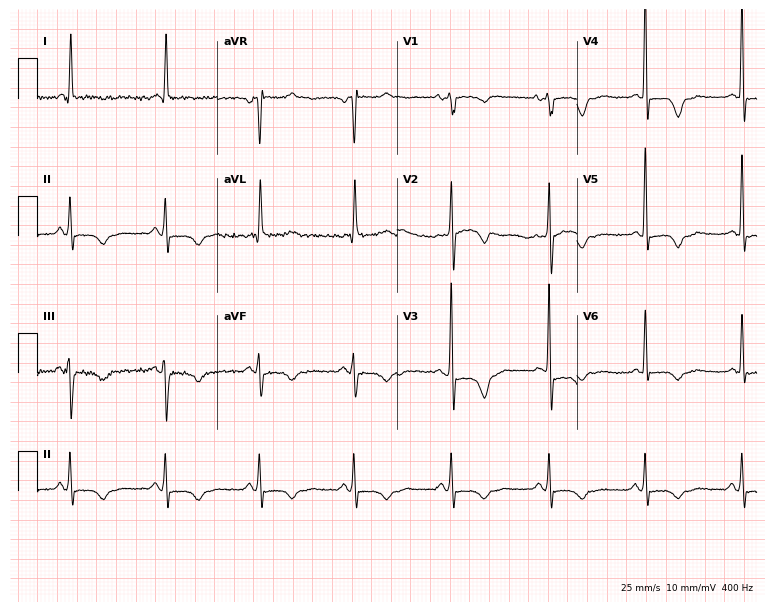
Resting 12-lead electrocardiogram. Patient: a 72-year-old woman. None of these six findings is recorded: first-degree AV block, right bundle branch block (RBBB), left bundle branch block (LBBB), sinus bradycardia, atrial fibrillation (AF), sinus tachycardia.